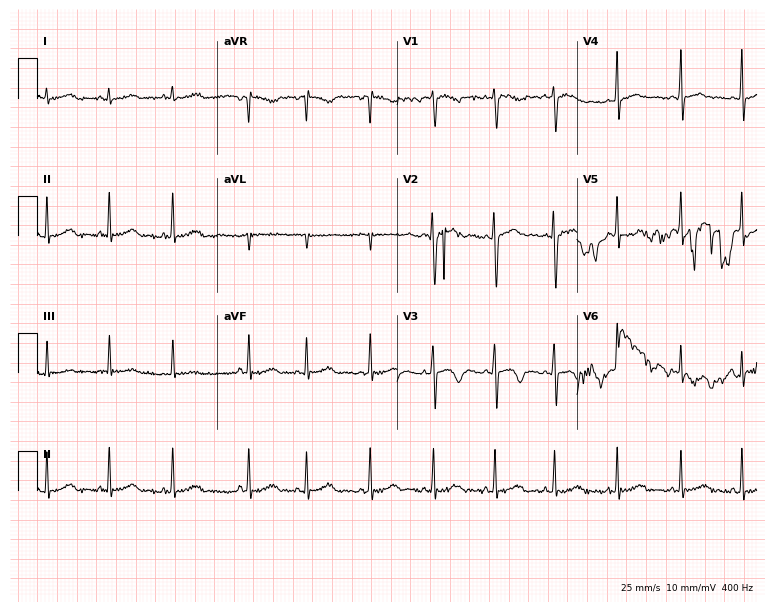
Electrocardiogram (7.3-second recording at 400 Hz), a female patient, 19 years old. Of the six screened findings (first-degree AV block, right bundle branch block, left bundle branch block, sinus bradycardia, atrial fibrillation, sinus tachycardia), none is recorded.